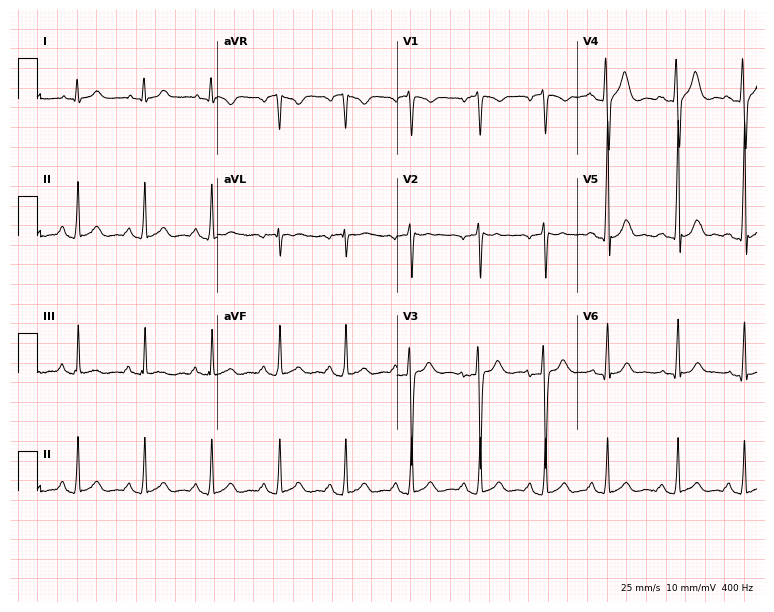
Standard 12-lead ECG recorded from a 20-year-old male (7.3-second recording at 400 Hz). Read as a normal ECG.